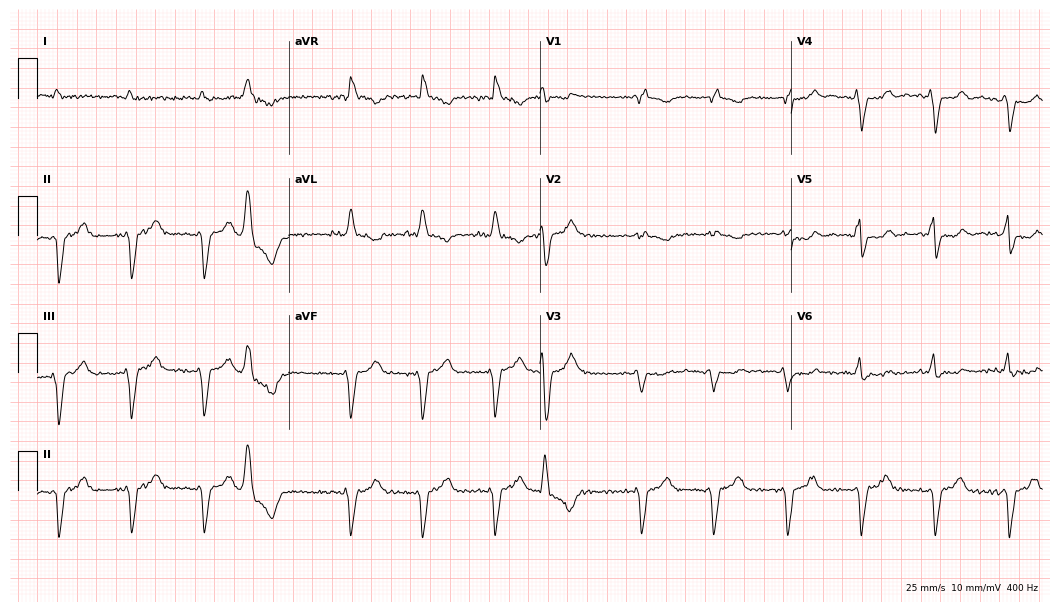
ECG (10.2-second recording at 400 Hz) — a man, 83 years old. Findings include right bundle branch block.